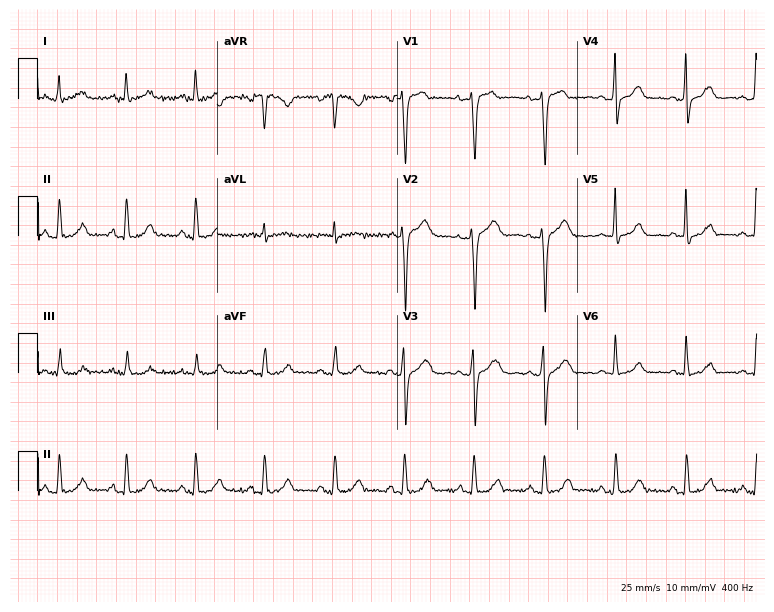
Standard 12-lead ECG recorded from a 51-year-old female patient. Read as a normal ECG.